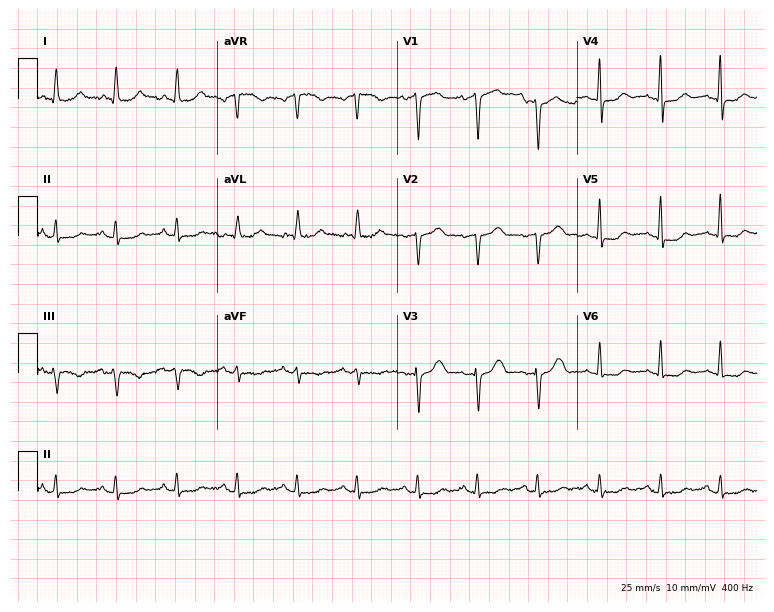
12-lead ECG from a woman, 60 years old (7.3-second recording at 400 Hz). No first-degree AV block, right bundle branch block, left bundle branch block, sinus bradycardia, atrial fibrillation or sinus tachycardia recorded for this tracing. Only these six findings were labelled.